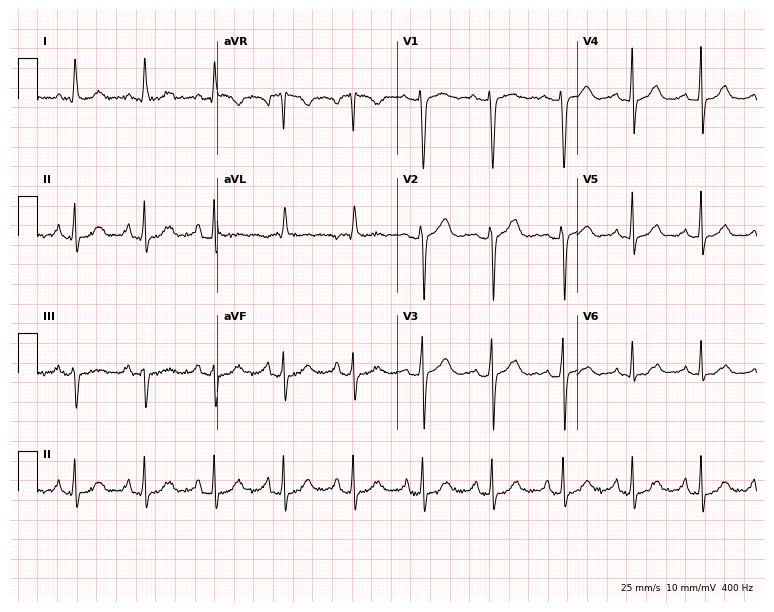
ECG — a 51-year-old female. Screened for six findings — first-degree AV block, right bundle branch block, left bundle branch block, sinus bradycardia, atrial fibrillation, sinus tachycardia — none is recorded.